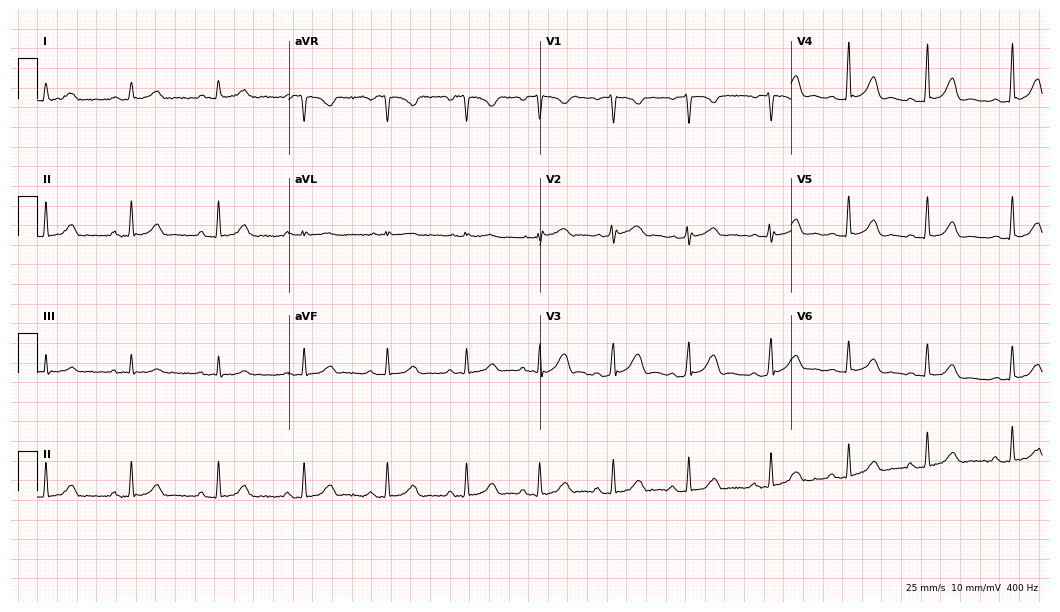
12-lead ECG from a female, 32 years old. Recorded interpretation: within normal limits.